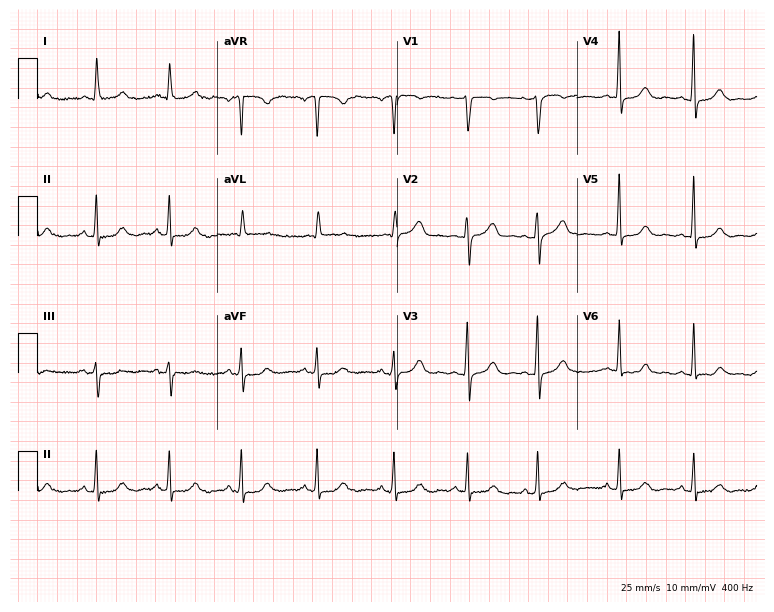
Electrocardiogram (7.3-second recording at 400 Hz), a 60-year-old woman. Of the six screened findings (first-degree AV block, right bundle branch block, left bundle branch block, sinus bradycardia, atrial fibrillation, sinus tachycardia), none is recorded.